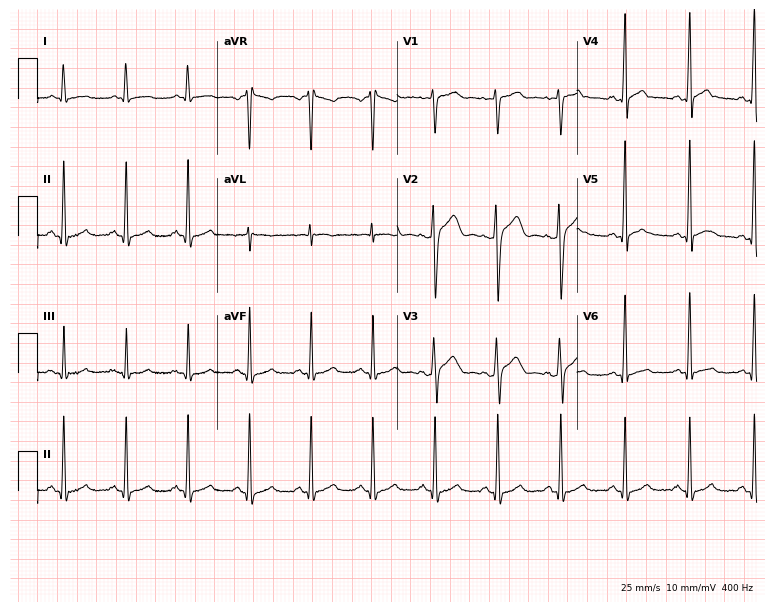
Standard 12-lead ECG recorded from a 31-year-old man. Read as a normal ECG.